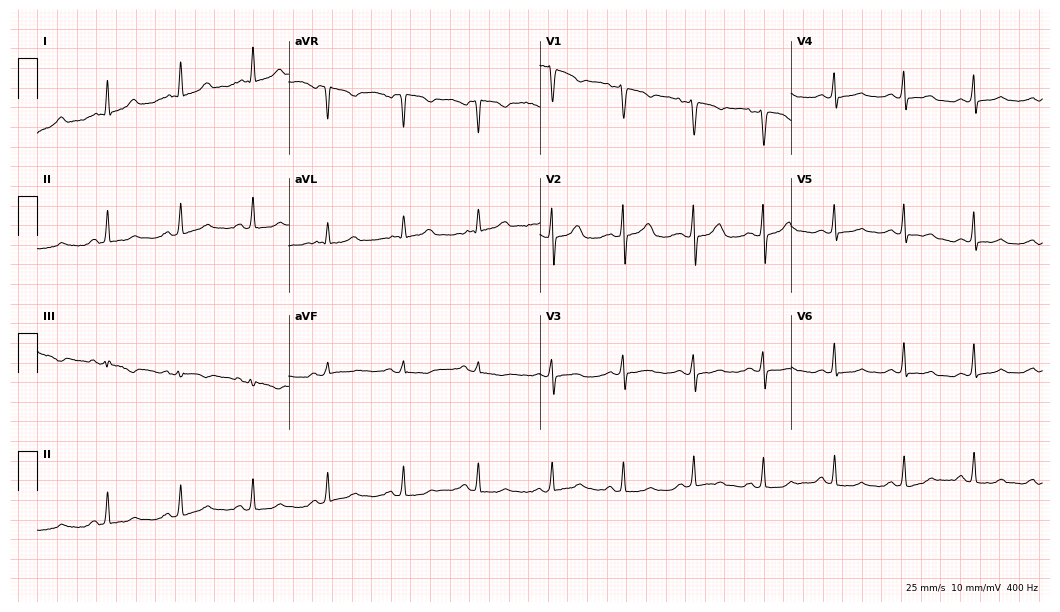
ECG — a 51-year-old woman. Labelled as a normal ECG.